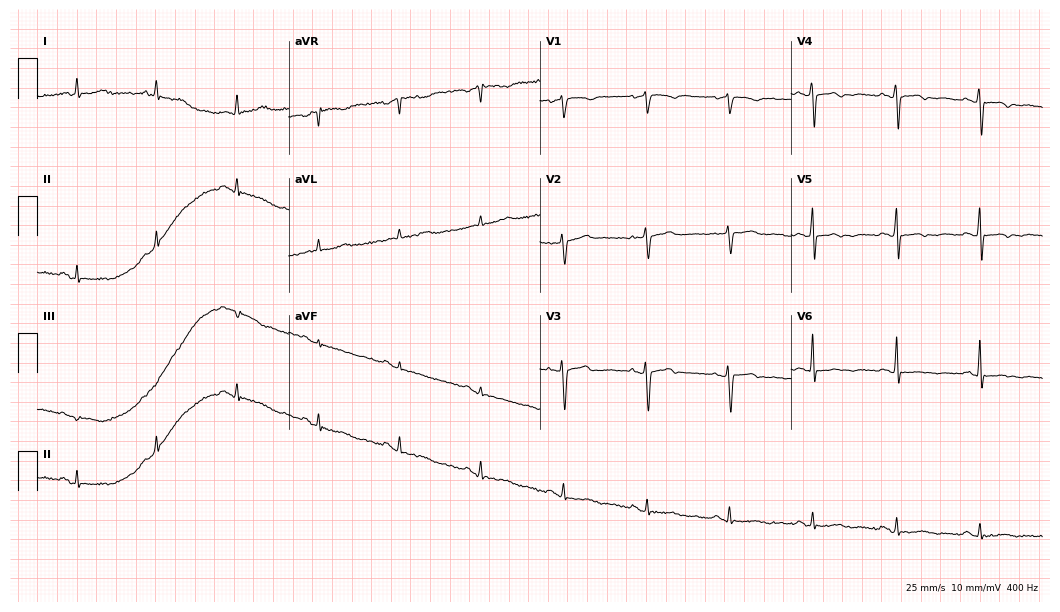
ECG (10.2-second recording at 400 Hz) — a 58-year-old female. Screened for six findings — first-degree AV block, right bundle branch block, left bundle branch block, sinus bradycardia, atrial fibrillation, sinus tachycardia — none is recorded. Other findings, if any, are not listed.